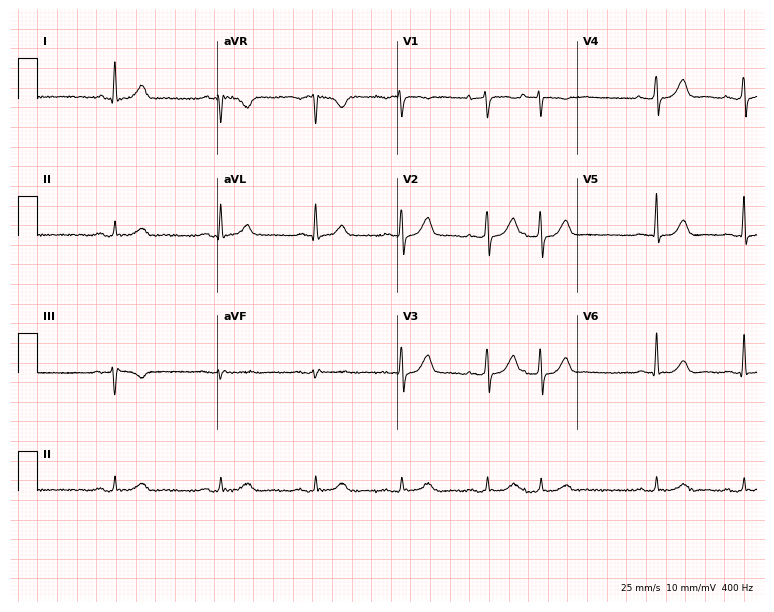
Standard 12-lead ECG recorded from a male, 60 years old. None of these six findings is recorded: first-degree AV block, right bundle branch block (RBBB), left bundle branch block (LBBB), sinus bradycardia, atrial fibrillation (AF), sinus tachycardia. Only these six findings were labelled.